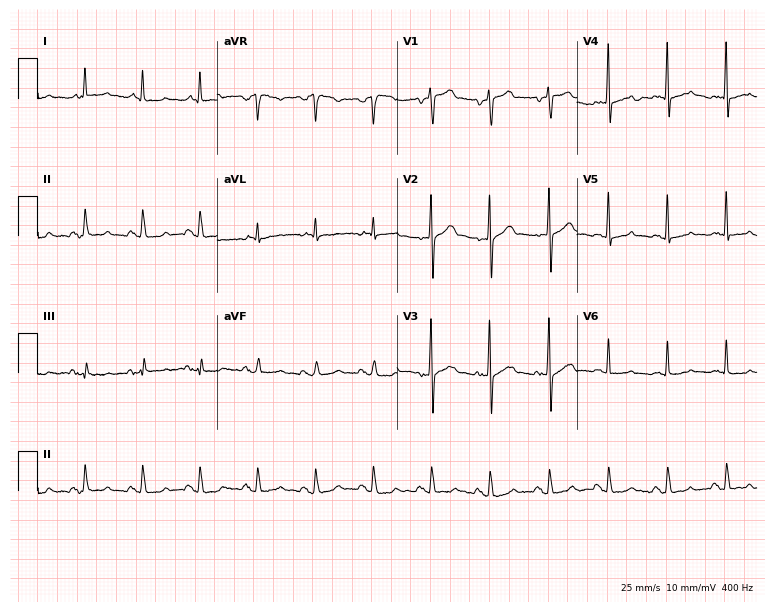
Standard 12-lead ECG recorded from a male, 51 years old (7.3-second recording at 400 Hz). Read as a normal ECG.